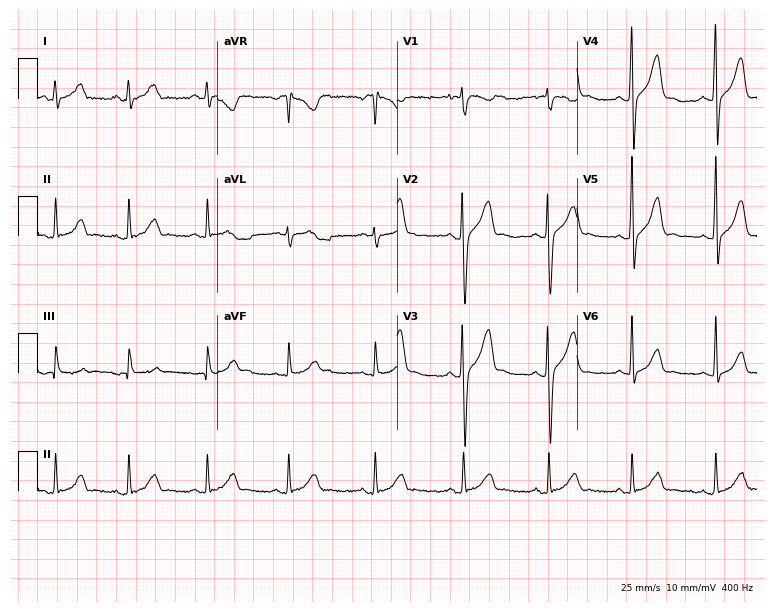
12-lead ECG (7.3-second recording at 400 Hz) from a 33-year-old man. Labelled as a normal ECG.